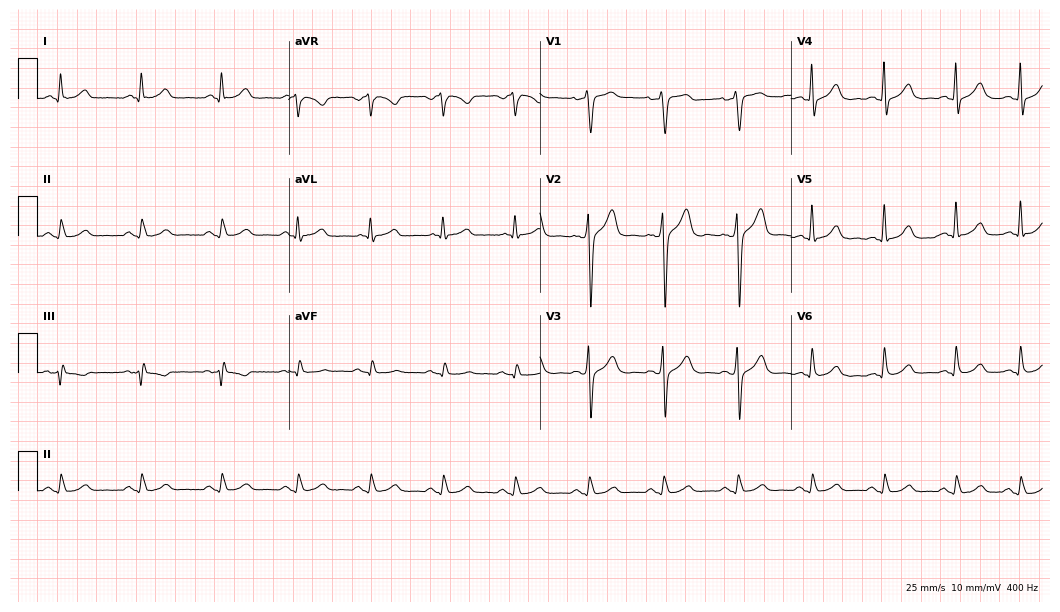
12-lead ECG from a 46-year-old woman (10.2-second recording at 400 Hz). Recorded interpretation: within normal limits.